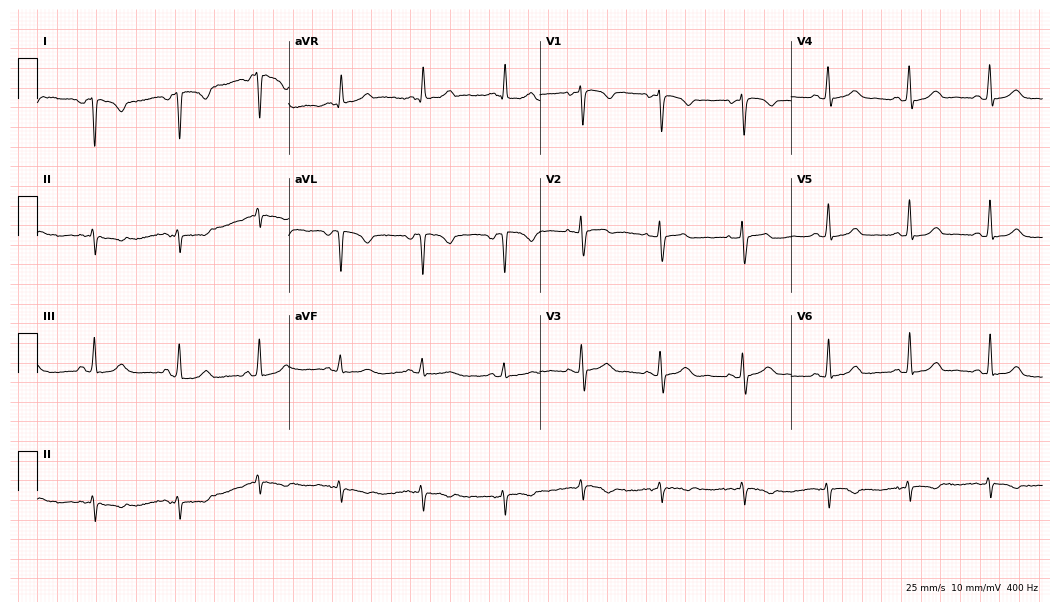
ECG — a 36-year-old woman. Screened for six findings — first-degree AV block, right bundle branch block, left bundle branch block, sinus bradycardia, atrial fibrillation, sinus tachycardia — none is recorded.